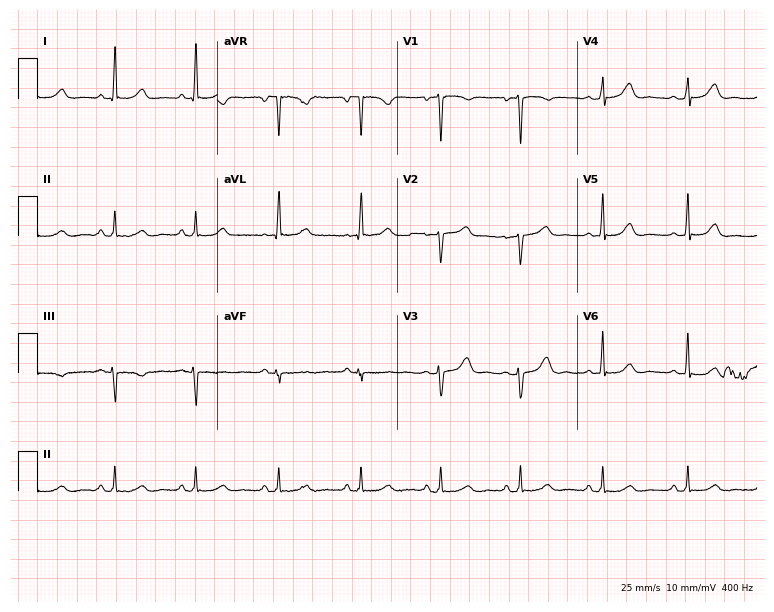
Electrocardiogram, a 50-year-old female patient. Overall reading on record: normal ECG.